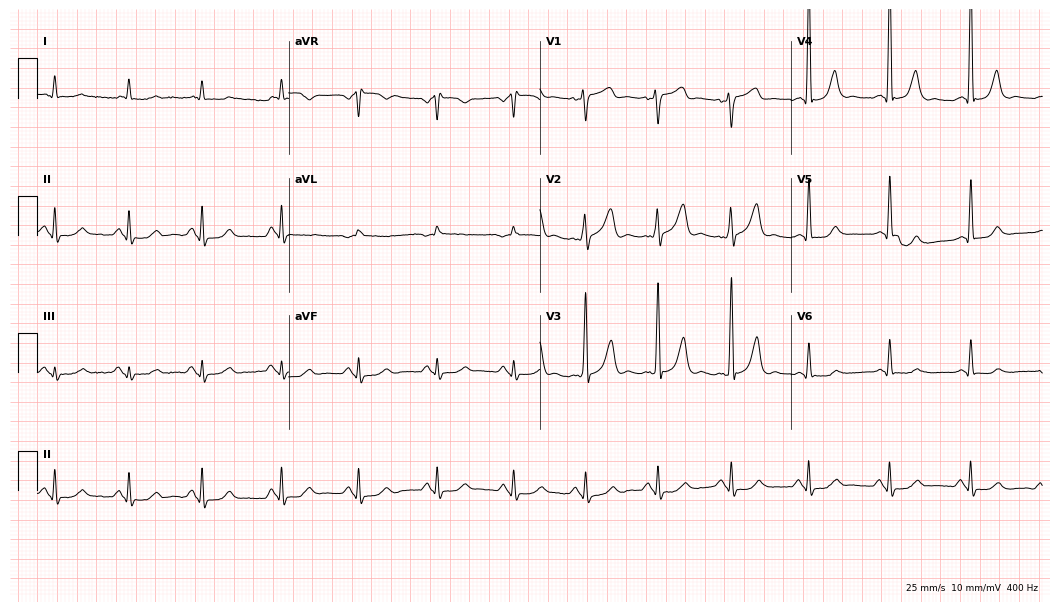
12-lead ECG (10.2-second recording at 400 Hz) from a male patient, 66 years old. Screened for six findings — first-degree AV block, right bundle branch block (RBBB), left bundle branch block (LBBB), sinus bradycardia, atrial fibrillation (AF), sinus tachycardia — none is recorded. Only these six findings were labelled.